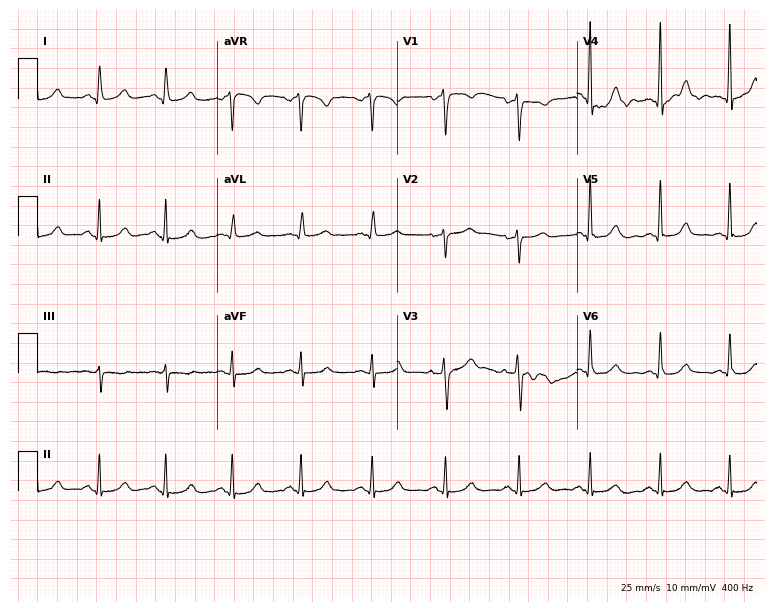
ECG (7.3-second recording at 400 Hz) — a female, 51 years old. Labelled as a normal ECG.